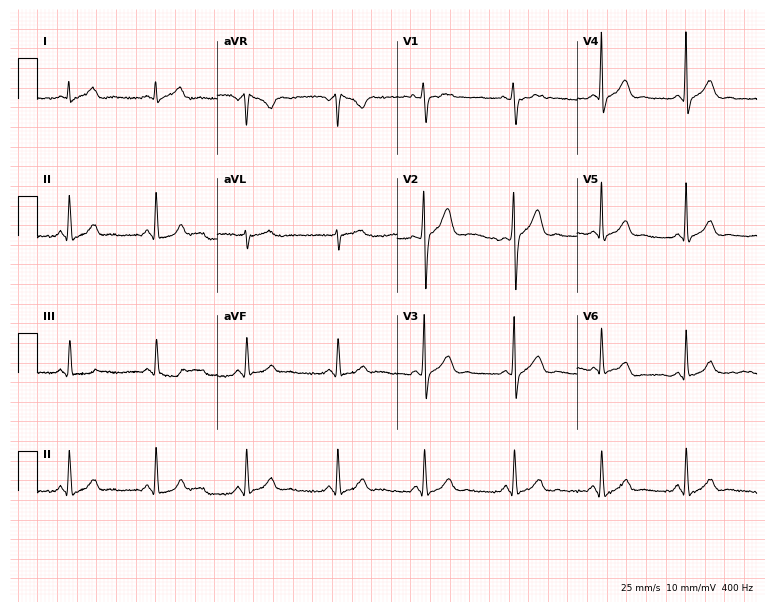
12-lead ECG from a woman, 43 years old. Labelled as a normal ECG.